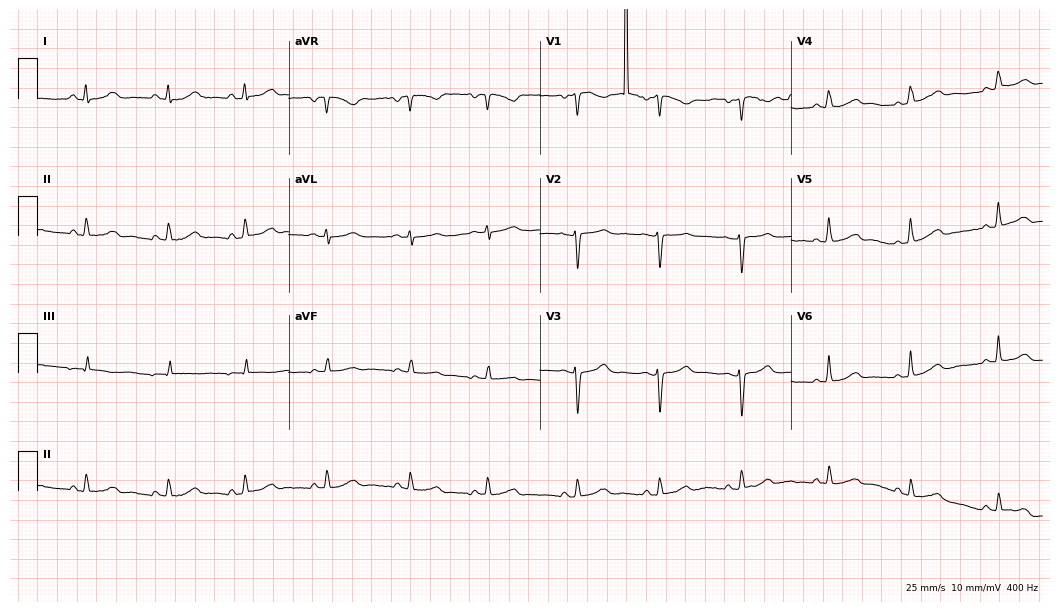
ECG (10.2-second recording at 400 Hz) — a female, 31 years old. Labelled as a normal ECG.